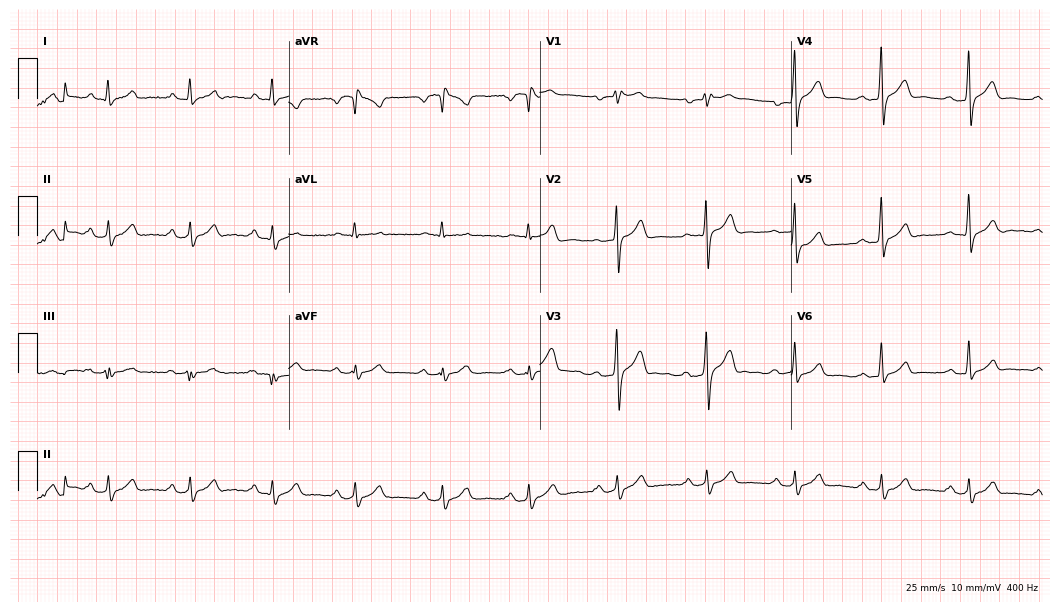
Standard 12-lead ECG recorded from a man, 44 years old (10.2-second recording at 400 Hz). Read as a normal ECG.